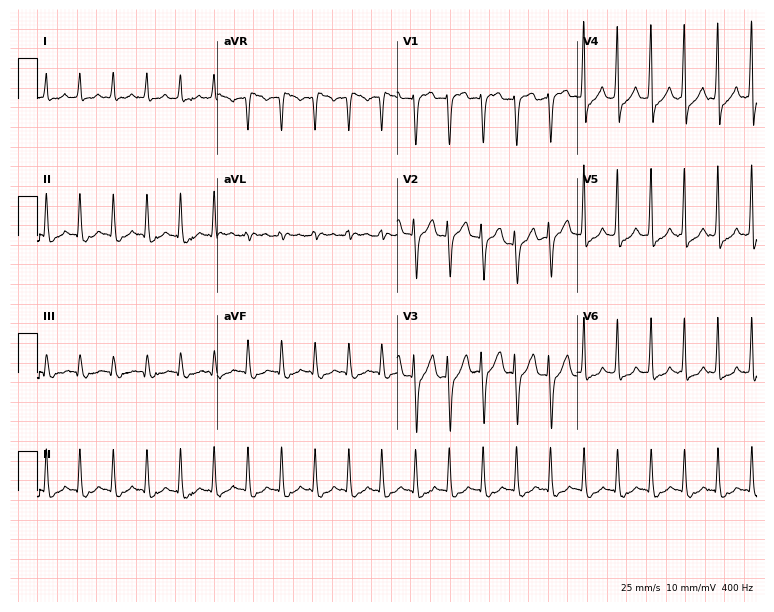
12-lead ECG from a male, 54 years old. No first-degree AV block, right bundle branch block (RBBB), left bundle branch block (LBBB), sinus bradycardia, atrial fibrillation (AF) or sinus tachycardia recorded for this tracing.